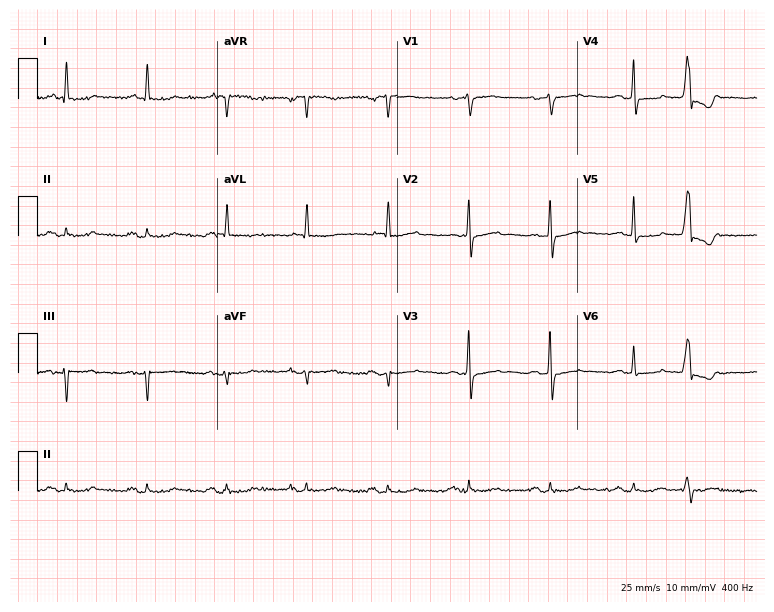
Standard 12-lead ECG recorded from a male patient, 74 years old (7.3-second recording at 400 Hz). None of these six findings is recorded: first-degree AV block, right bundle branch block, left bundle branch block, sinus bradycardia, atrial fibrillation, sinus tachycardia. Findings outside these six are not listed.